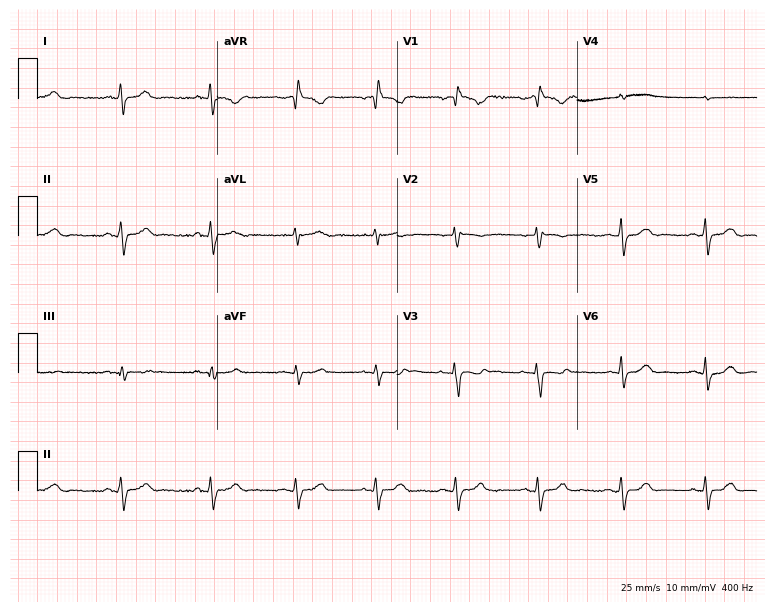
Resting 12-lead electrocardiogram. Patient: a 32-year-old female. None of these six findings is recorded: first-degree AV block, right bundle branch block (RBBB), left bundle branch block (LBBB), sinus bradycardia, atrial fibrillation (AF), sinus tachycardia.